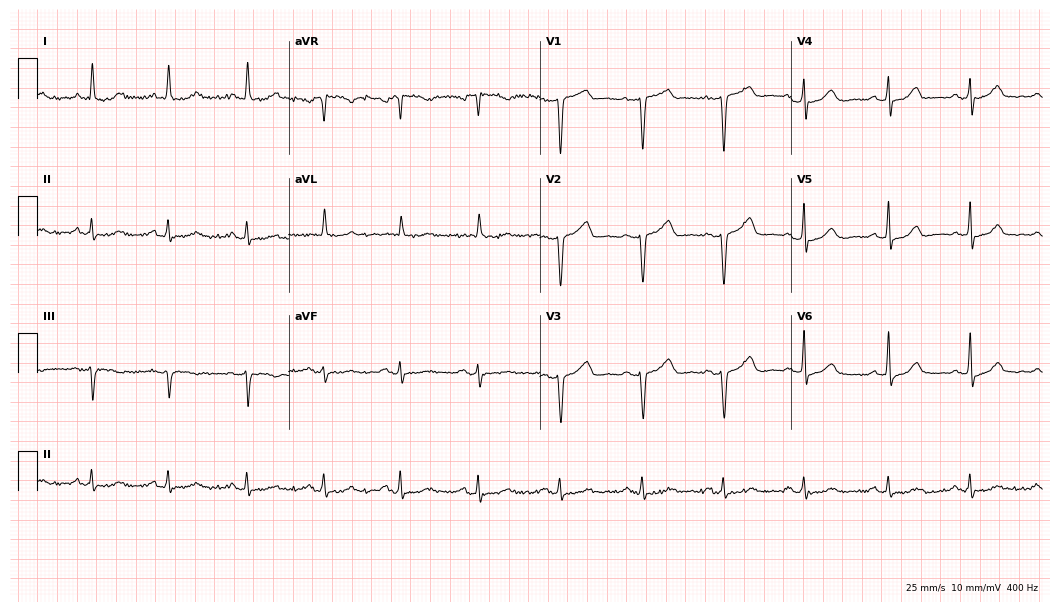
Resting 12-lead electrocardiogram. Patient: a 67-year-old female. None of these six findings is recorded: first-degree AV block, right bundle branch block, left bundle branch block, sinus bradycardia, atrial fibrillation, sinus tachycardia.